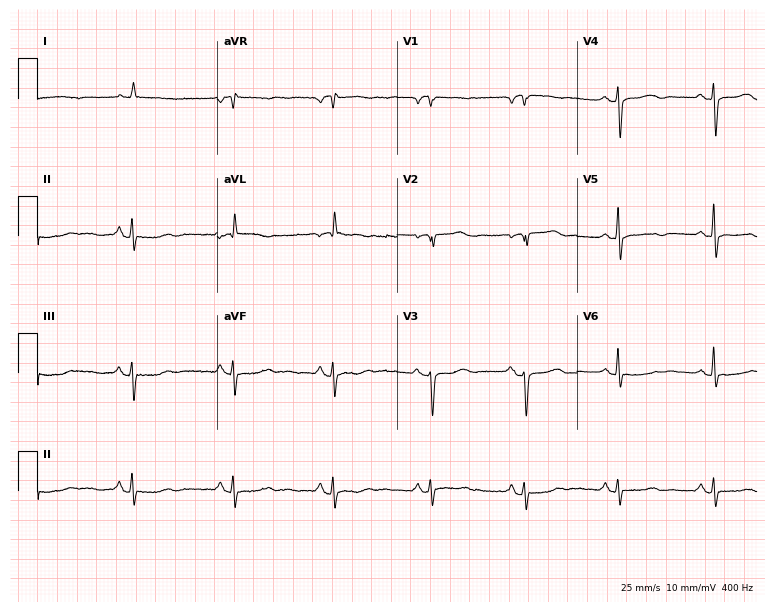
Electrocardiogram, an 83-year-old female patient. Of the six screened findings (first-degree AV block, right bundle branch block (RBBB), left bundle branch block (LBBB), sinus bradycardia, atrial fibrillation (AF), sinus tachycardia), none is recorded.